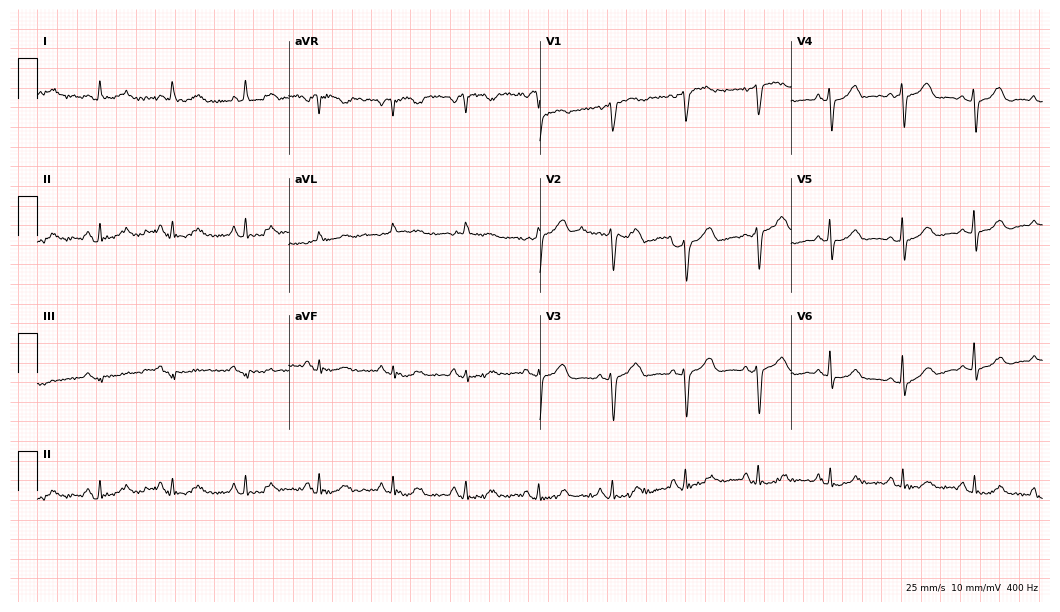
12-lead ECG from an 85-year-old female. Screened for six findings — first-degree AV block, right bundle branch block, left bundle branch block, sinus bradycardia, atrial fibrillation, sinus tachycardia — none is recorded.